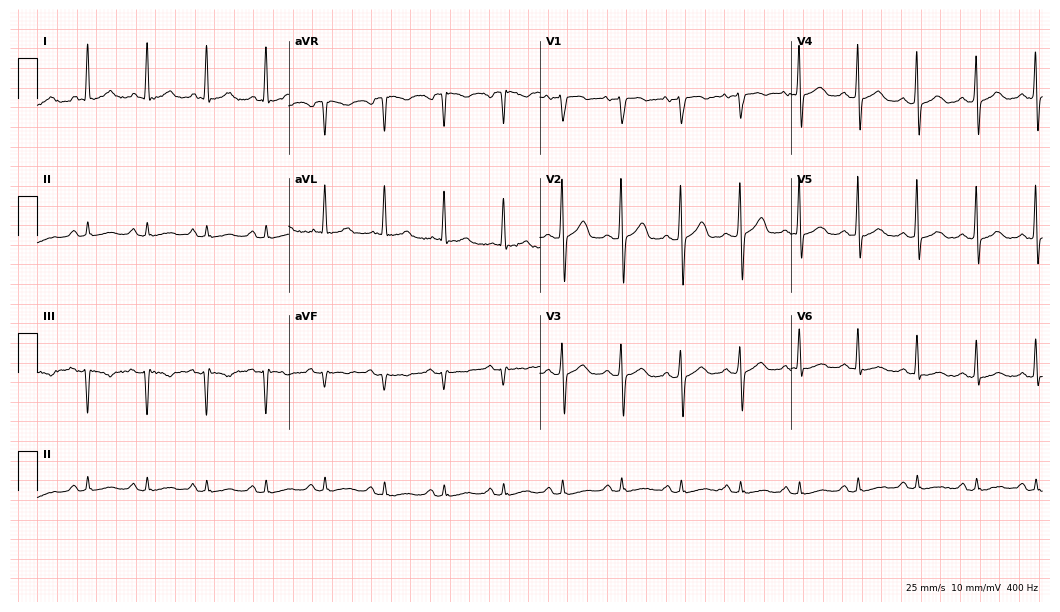
12-lead ECG (10.2-second recording at 400 Hz) from a 63-year-old female patient. Labelled as a normal ECG.